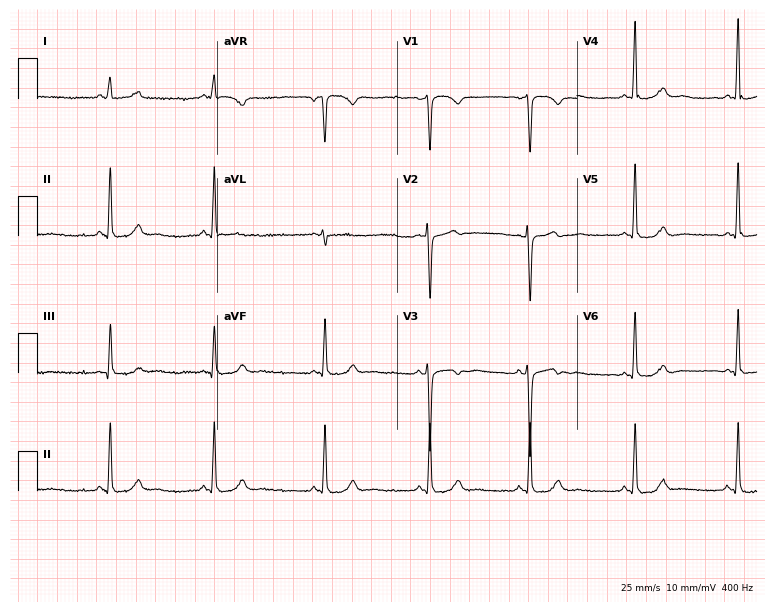
ECG — a 24-year-old female patient. Screened for six findings — first-degree AV block, right bundle branch block, left bundle branch block, sinus bradycardia, atrial fibrillation, sinus tachycardia — none is recorded. Other findings, if any, are not listed.